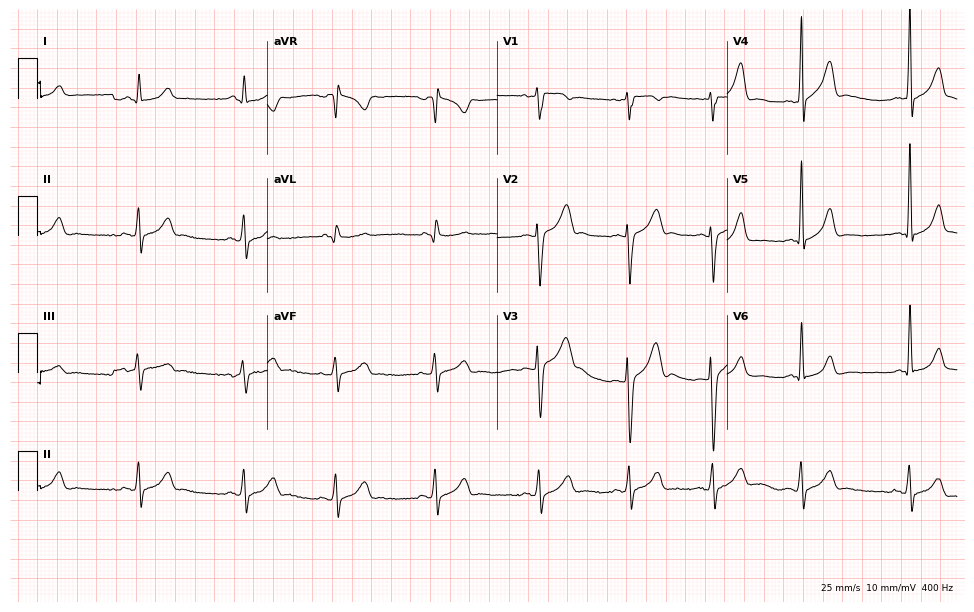
Resting 12-lead electrocardiogram. Patient: a 17-year-old man. None of these six findings is recorded: first-degree AV block, right bundle branch block, left bundle branch block, sinus bradycardia, atrial fibrillation, sinus tachycardia. Other findings, if any, are not listed.